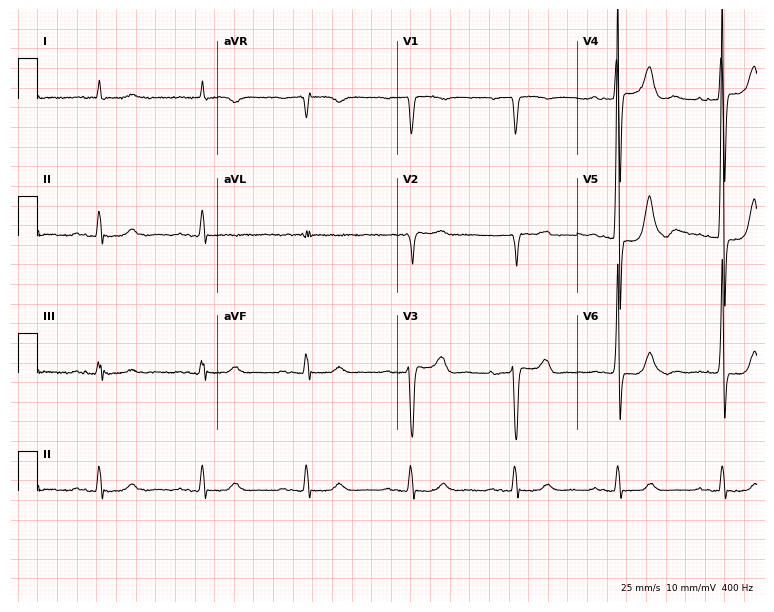
Electrocardiogram (7.3-second recording at 400 Hz), a male, 83 years old. Interpretation includes first-degree AV block.